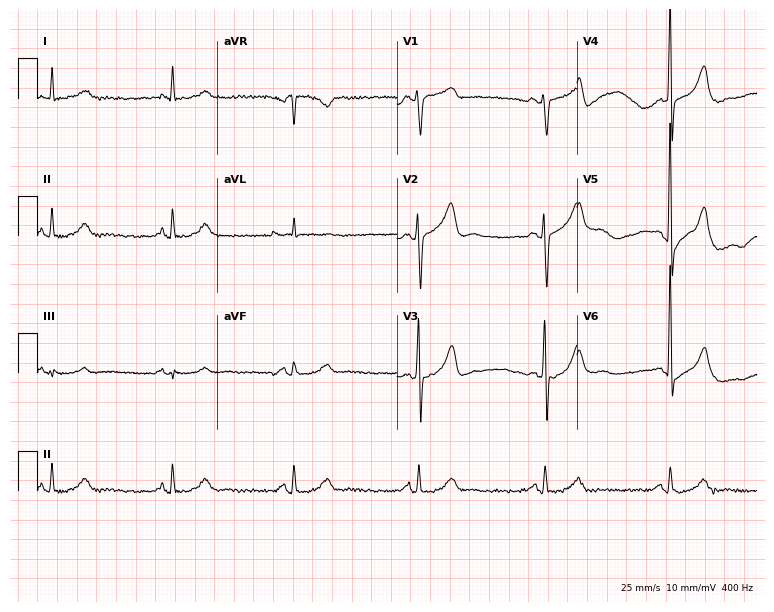
12-lead ECG from a 69-year-old male patient. Shows sinus bradycardia (a sinus rate of 50 beats per minute or less).